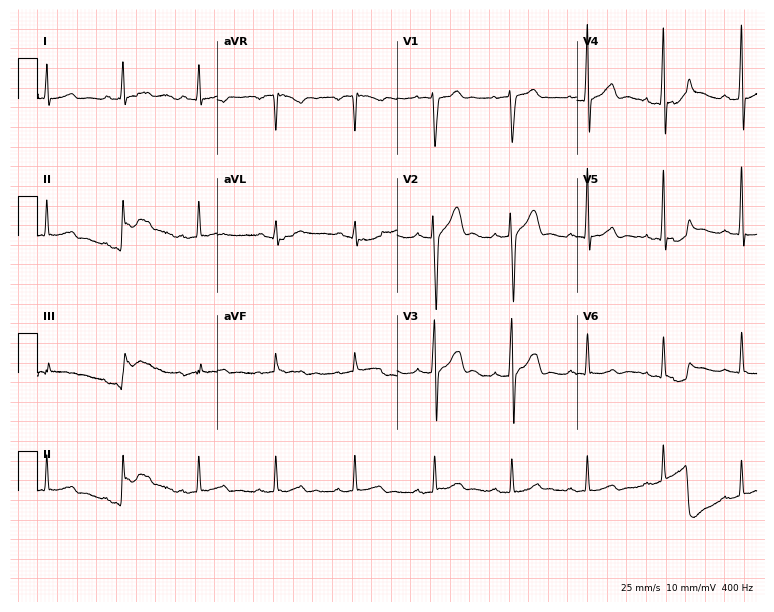
Electrocardiogram, a 33-year-old man. Of the six screened findings (first-degree AV block, right bundle branch block (RBBB), left bundle branch block (LBBB), sinus bradycardia, atrial fibrillation (AF), sinus tachycardia), none is recorded. Findings outside these six are not listed.